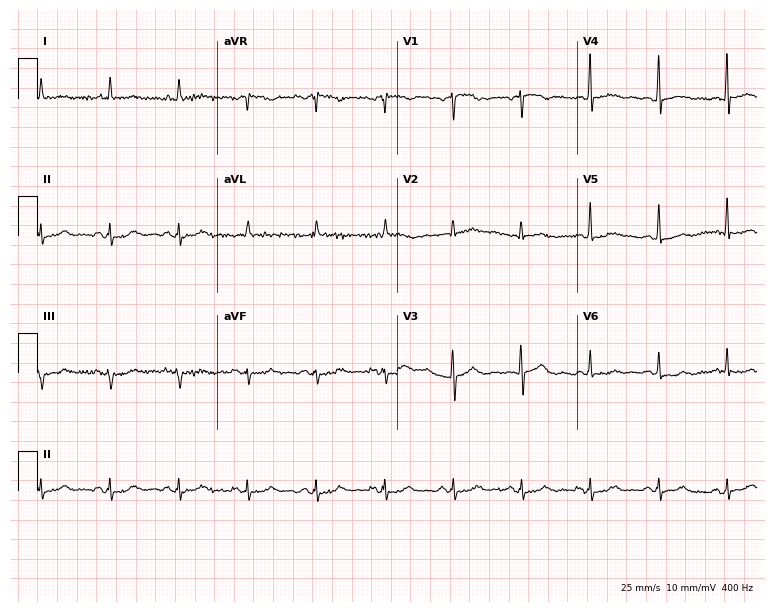
12-lead ECG from a male, 61 years old. Recorded interpretation: within normal limits.